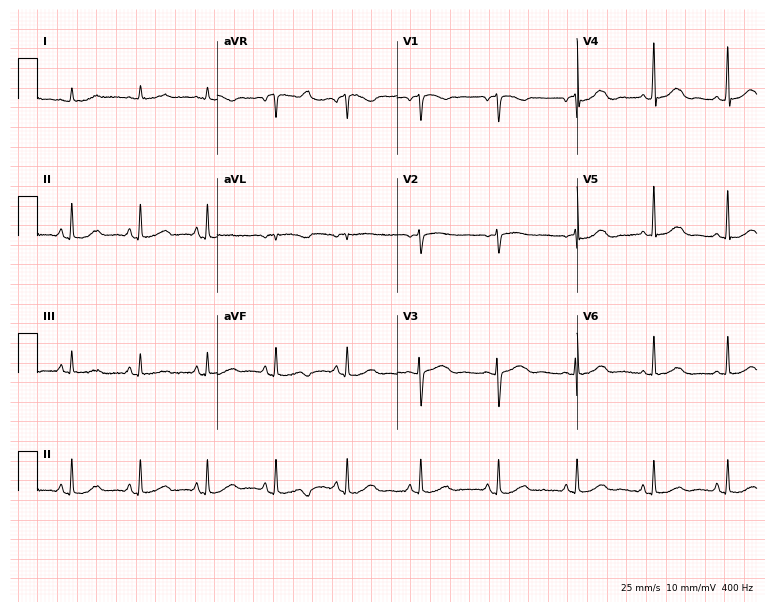
Resting 12-lead electrocardiogram. Patient: a female, 57 years old. None of these six findings is recorded: first-degree AV block, right bundle branch block, left bundle branch block, sinus bradycardia, atrial fibrillation, sinus tachycardia. Other findings, if any, are not listed.